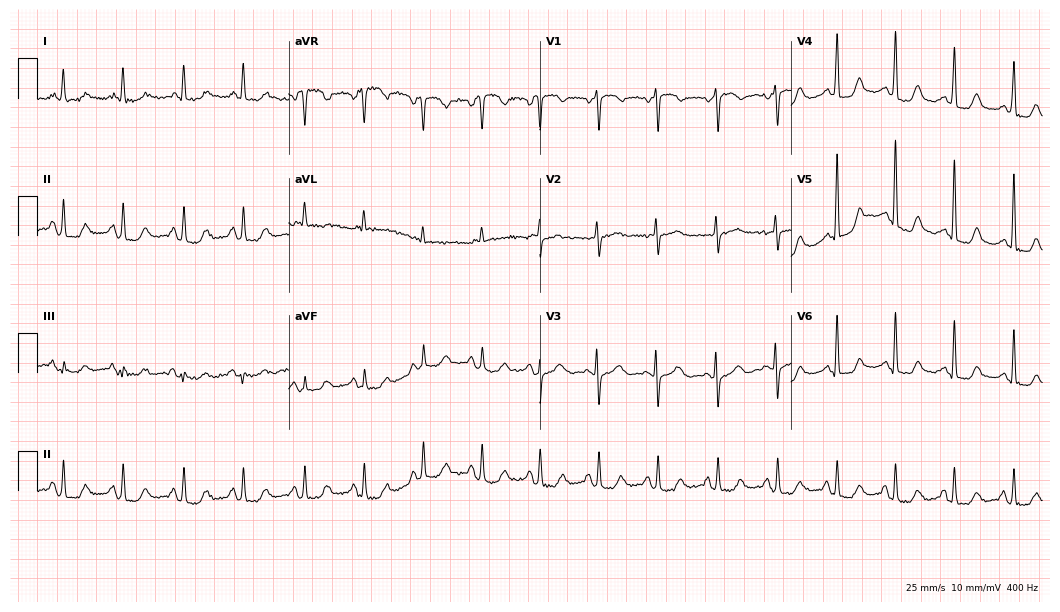
12-lead ECG from a female, 81 years old (10.2-second recording at 400 Hz). No first-degree AV block, right bundle branch block, left bundle branch block, sinus bradycardia, atrial fibrillation or sinus tachycardia recorded for this tracing. Only these six findings were labelled.